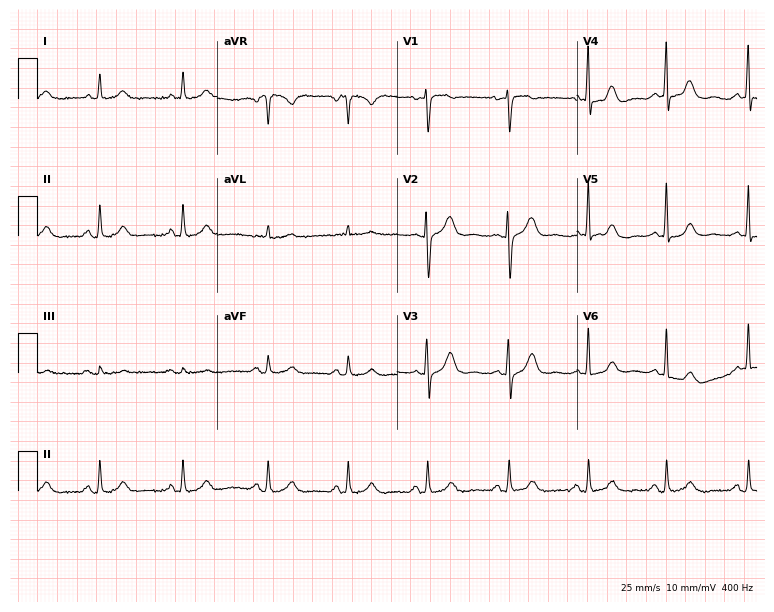
12-lead ECG from a female patient, 66 years old (7.3-second recording at 400 Hz). No first-degree AV block, right bundle branch block, left bundle branch block, sinus bradycardia, atrial fibrillation or sinus tachycardia recorded for this tracing. Only these six findings were labelled.